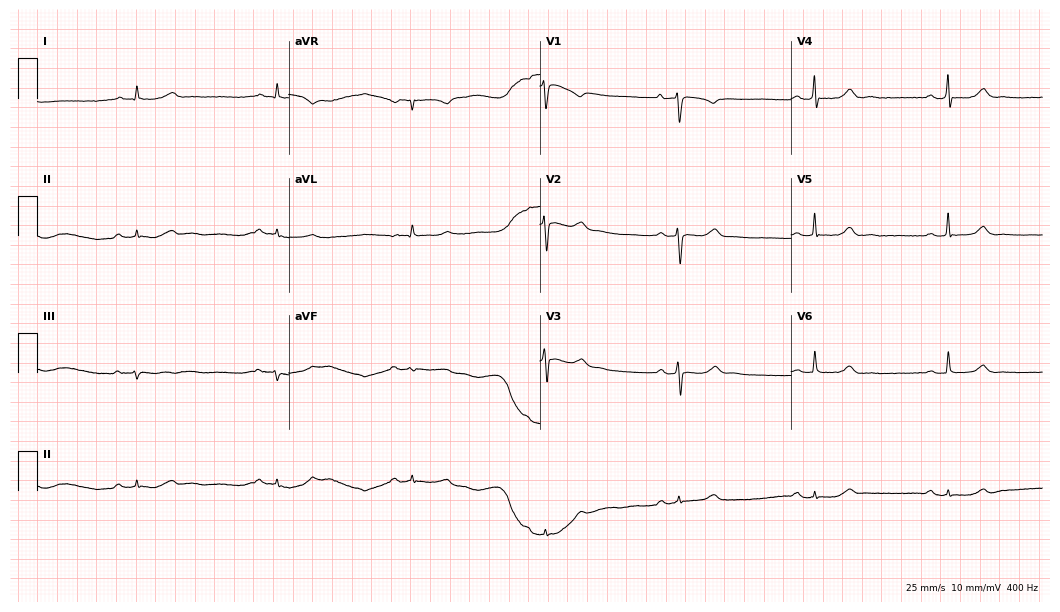
12-lead ECG from a 56-year-old female (10.2-second recording at 400 Hz). Shows sinus bradycardia (a sinus rate of 50 beats per minute or less).